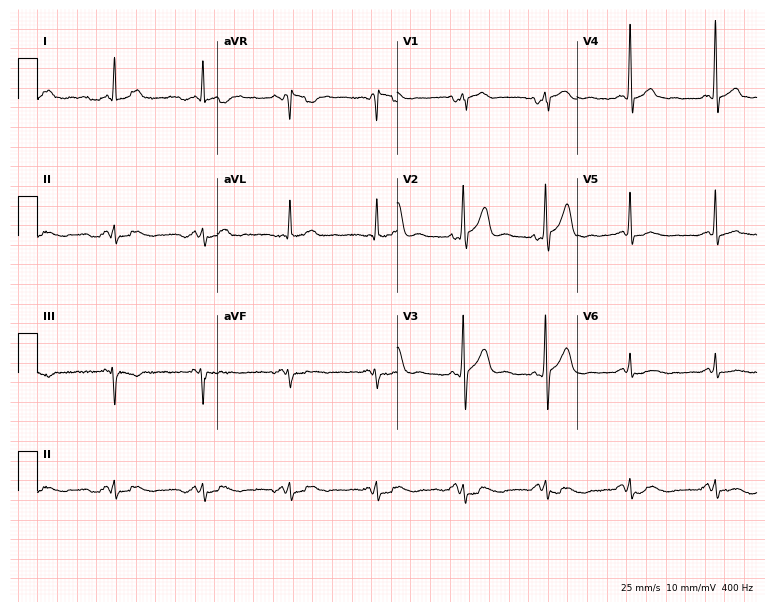
ECG — a 42-year-old man. Labelled as a normal ECG.